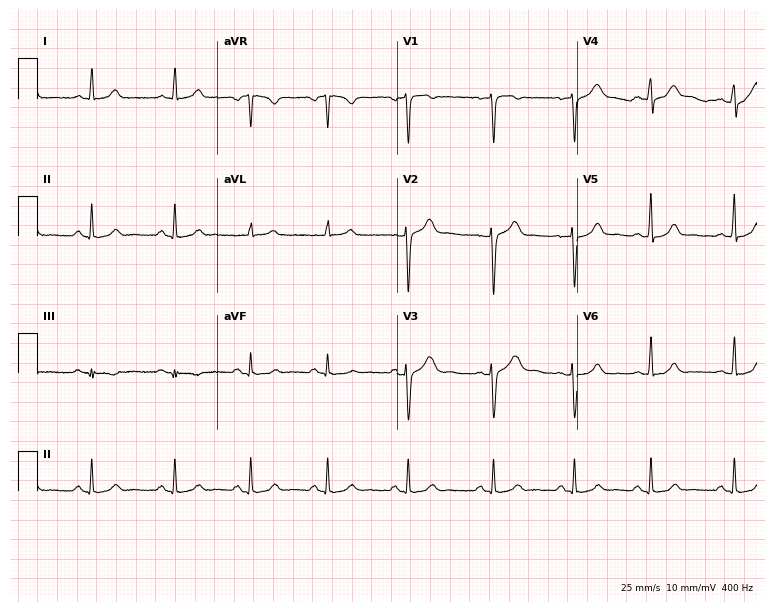
Resting 12-lead electrocardiogram. Patient: a woman, 33 years old. Read as a normal ECG.